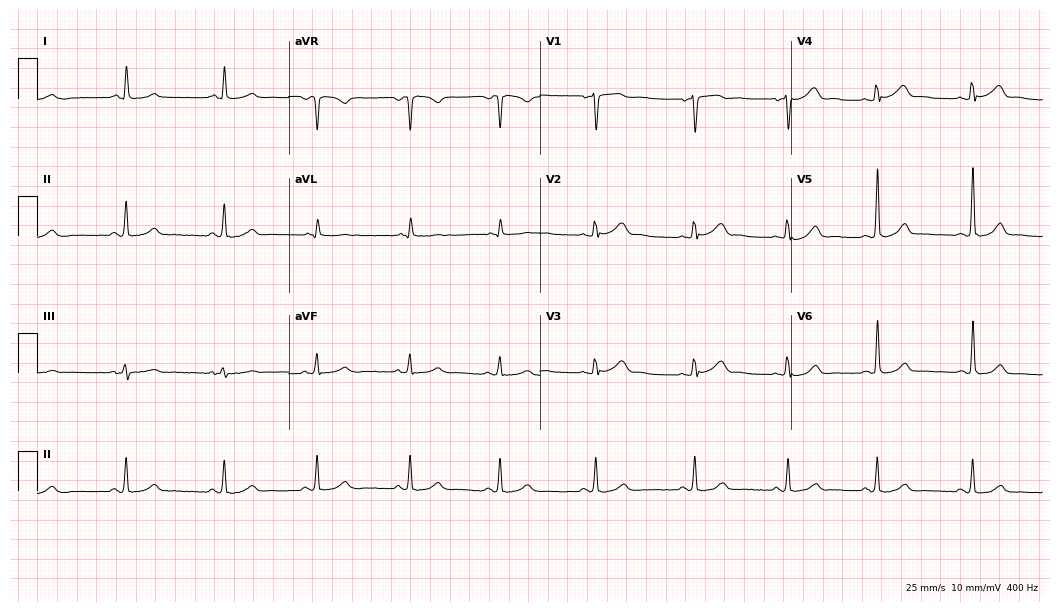
12-lead ECG from a 41-year-old female. Recorded interpretation: within normal limits.